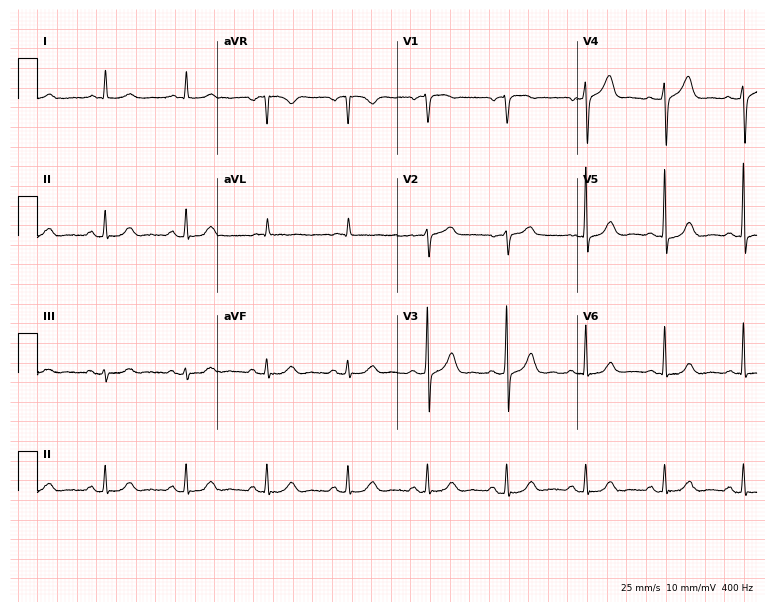
Electrocardiogram (7.3-second recording at 400 Hz), a 78-year-old man. Overall reading on record: normal ECG.